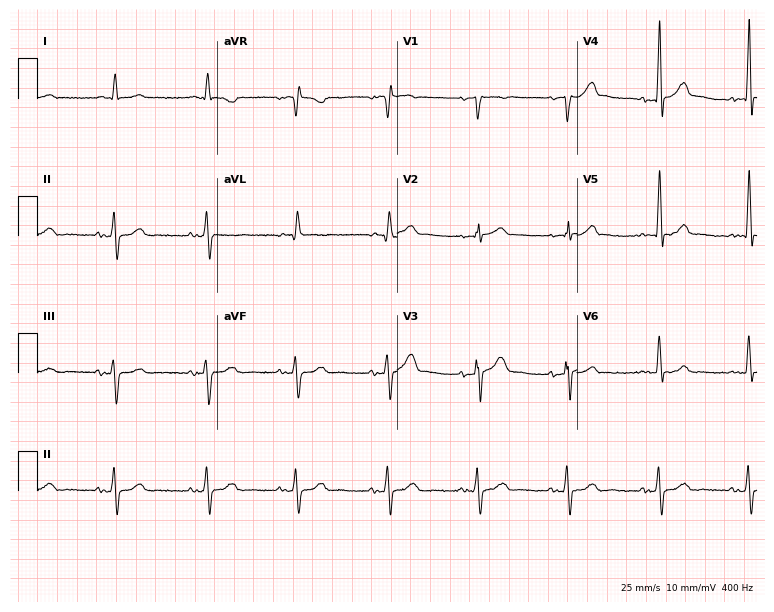
12-lead ECG from a male patient, 80 years old (7.3-second recording at 400 Hz). Recorded interpretation: within normal limits.